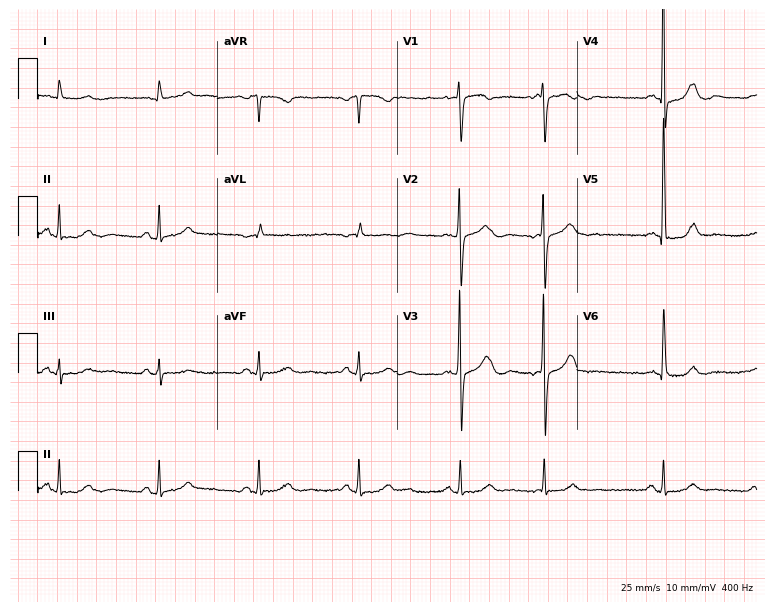
12-lead ECG from an 84-year-old male patient (7.3-second recording at 400 Hz). Recorded interpretation: within normal limits.